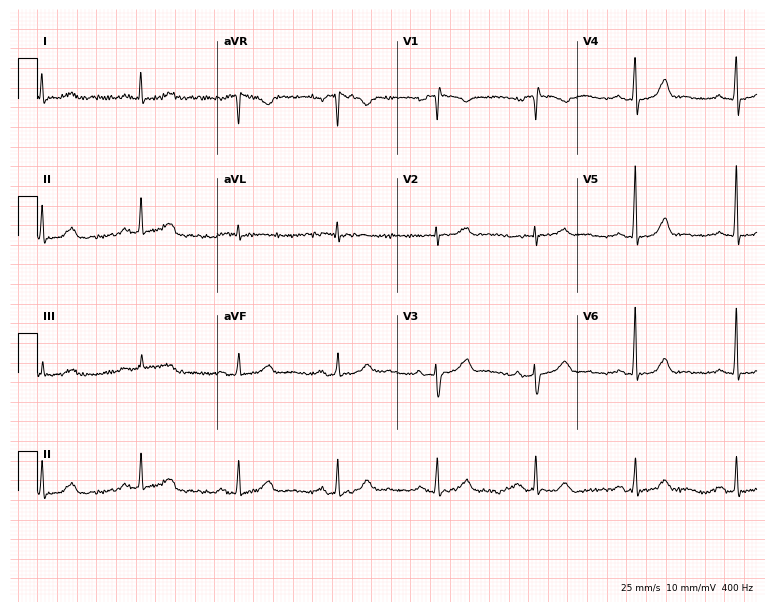
12-lead ECG from a female, 60 years old. Labelled as a normal ECG.